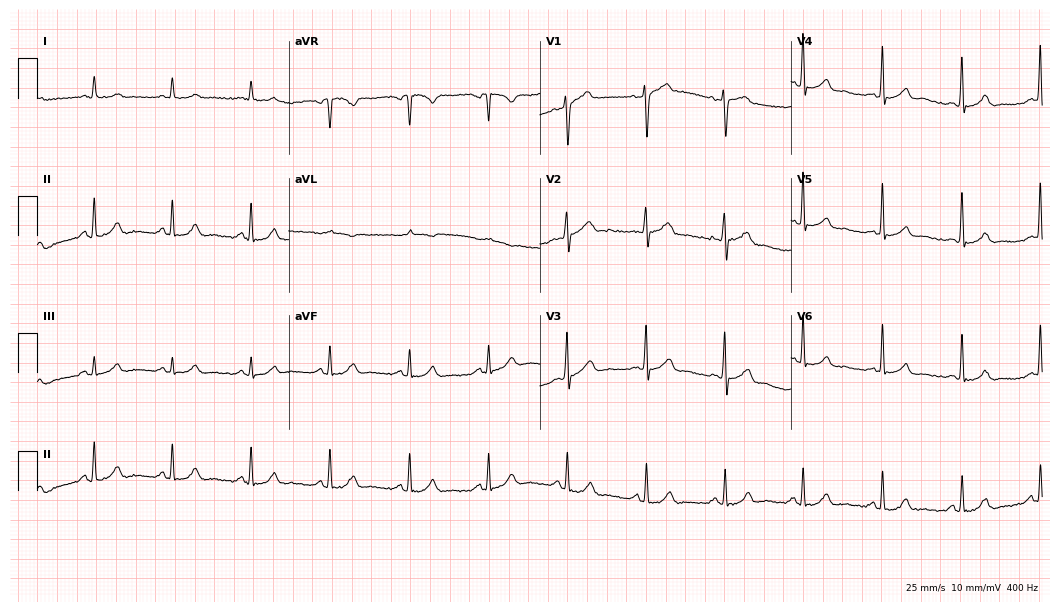
12-lead ECG from a 56-year-old man (10.2-second recording at 400 Hz). Recorded interpretation: within normal limits.